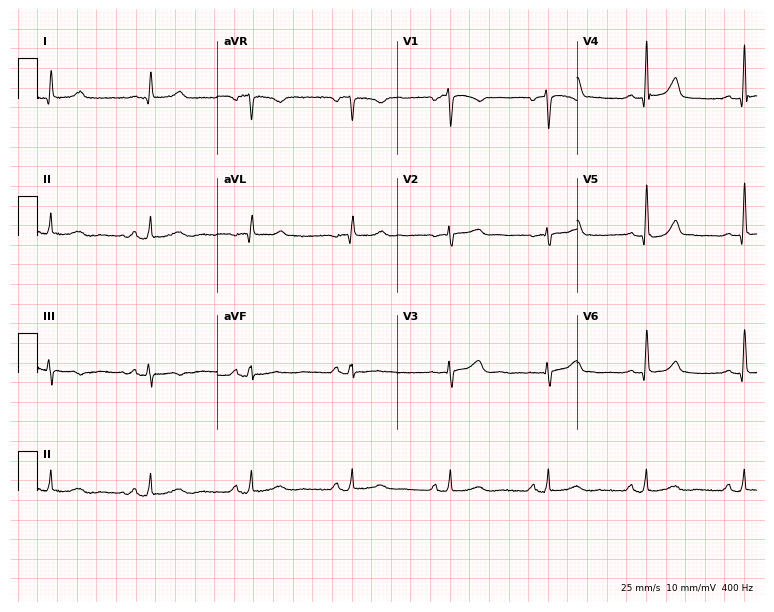
12-lead ECG from a 40-year-old female (7.3-second recording at 400 Hz). No first-degree AV block, right bundle branch block, left bundle branch block, sinus bradycardia, atrial fibrillation or sinus tachycardia recorded for this tracing.